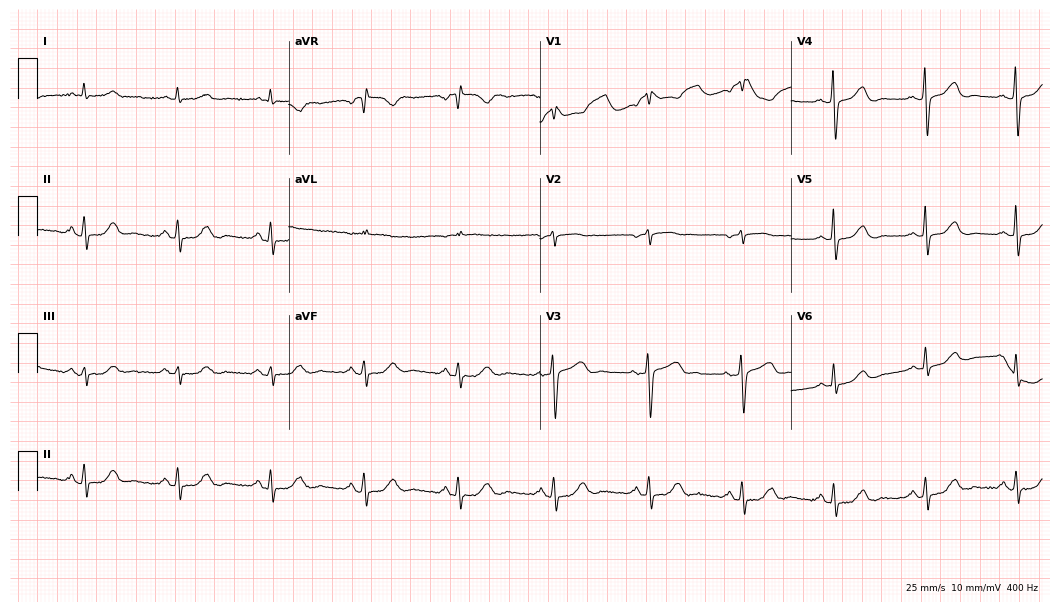
Standard 12-lead ECG recorded from a woman, 78 years old (10.2-second recording at 400 Hz). None of these six findings is recorded: first-degree AV block, right bundle branch block, left bundle branch block, sinus bradycardia, atrial fibrillation, sinus tachycardia. Findings outside these six are not listed.